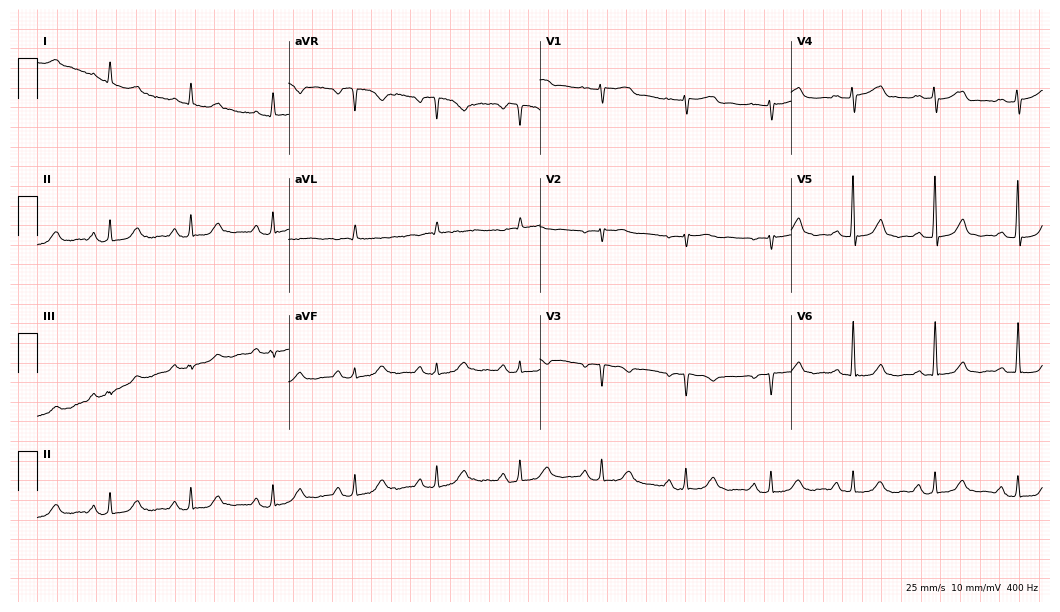
12-lead ECG from a 73-year-old woman. Recorded interpretation: within normal limits.